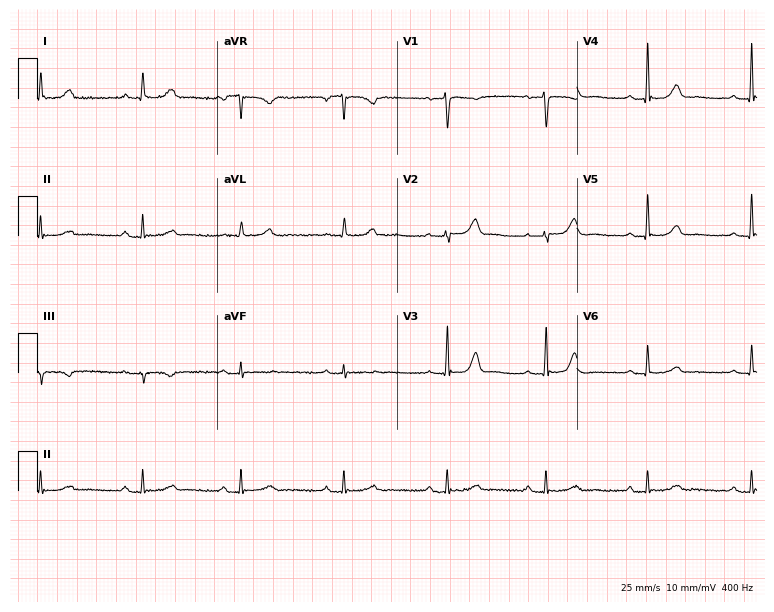
ECG — a female patient, 50 years old. Labelled as a normal ECG.